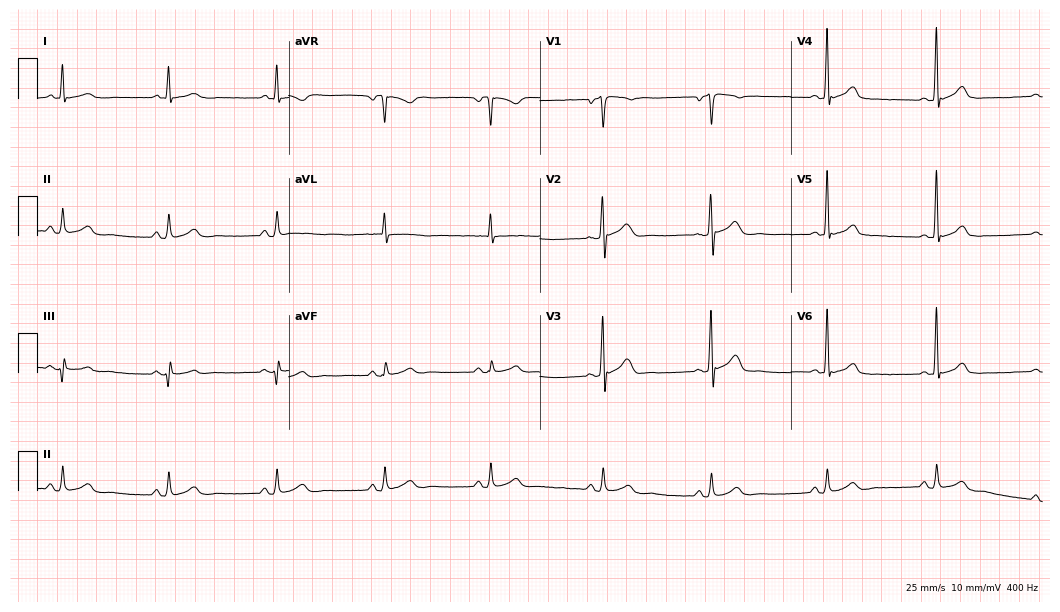
Standard 12-lead ECG recorded from a 48-year-old male patient (10.2-second recording at 400 Hz). None of these six findings is recorded: first-degree AV block, right bundle branch block (RBBB), left bundle branch block (LBBB), sinus bradycardia, atrial fibrillation (AF), sinus tachycardia. Findings outside these six are not listed.